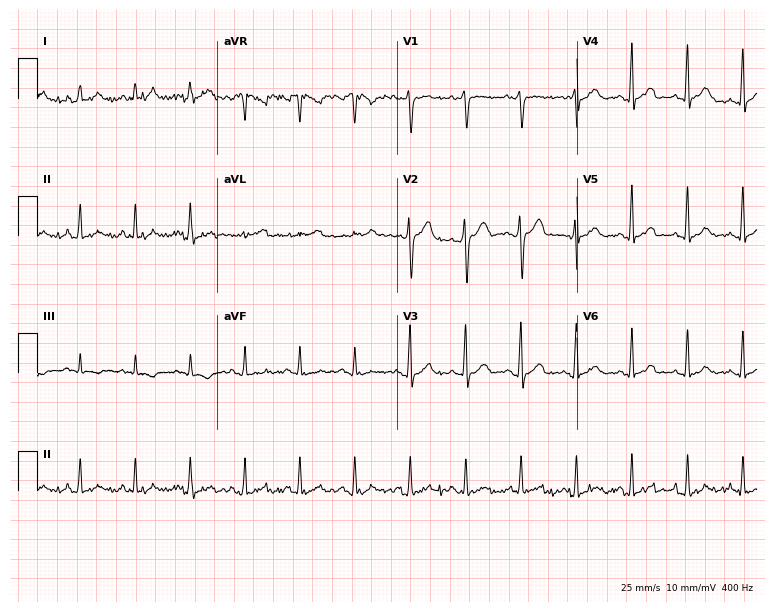
12-lead ECG (7.3-second recording at 400 Hz) from a 38-year-old male patient. Findings include sinus tachycardia (a sinus rate of 100 beats per minute or more).